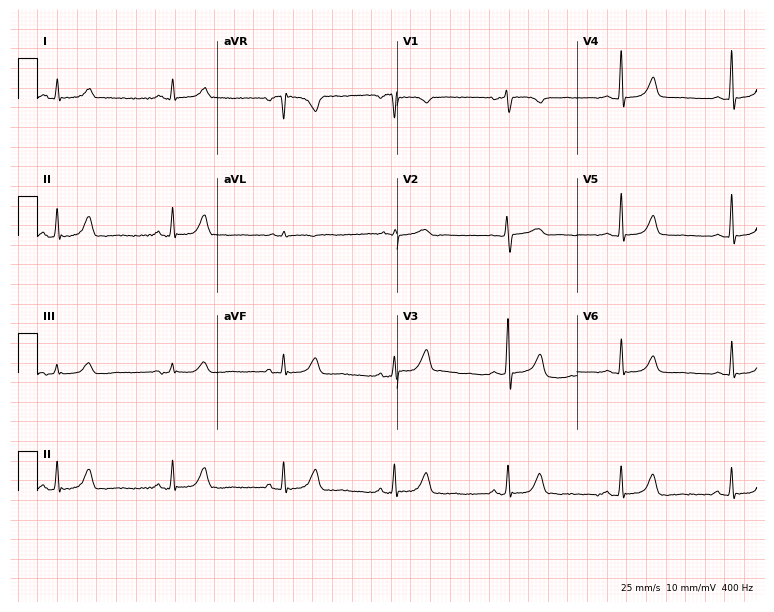
Resting 12-lead electrocardiogram. Patient: a 44-year-old woman. None of these six findings is recorded: first-degree AV block, right bundle branch block, left bundle branch block, sinus bradycardia, atrial fibrillation, sinus tachycardia. Findings outside these six are not listed.